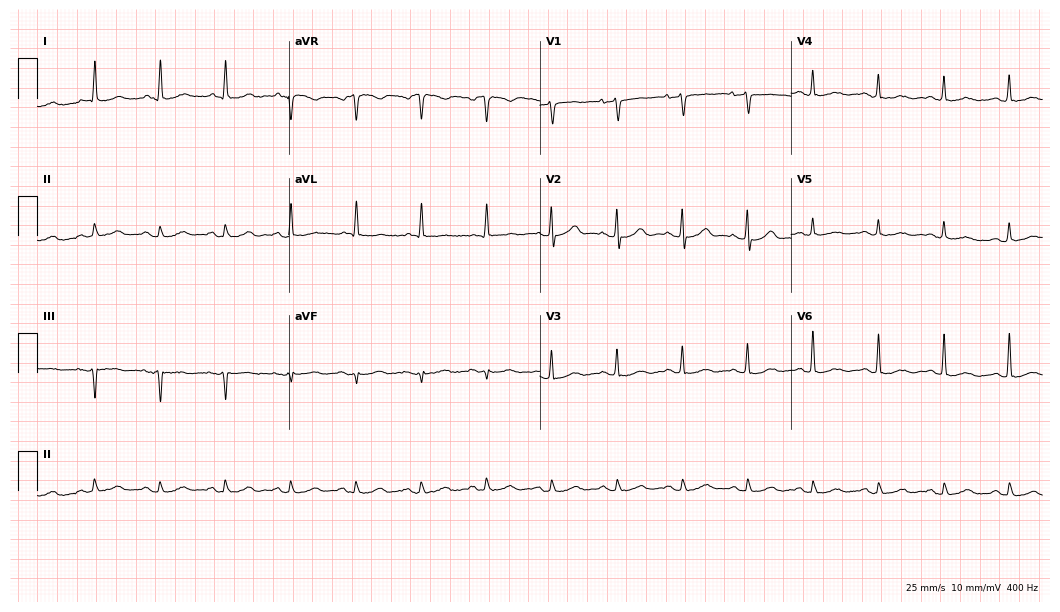
Standard 12-lead ECG recorded from an 81-year-old male patient (10.2-second recording at 400 Hz). Read as a normal ECG.